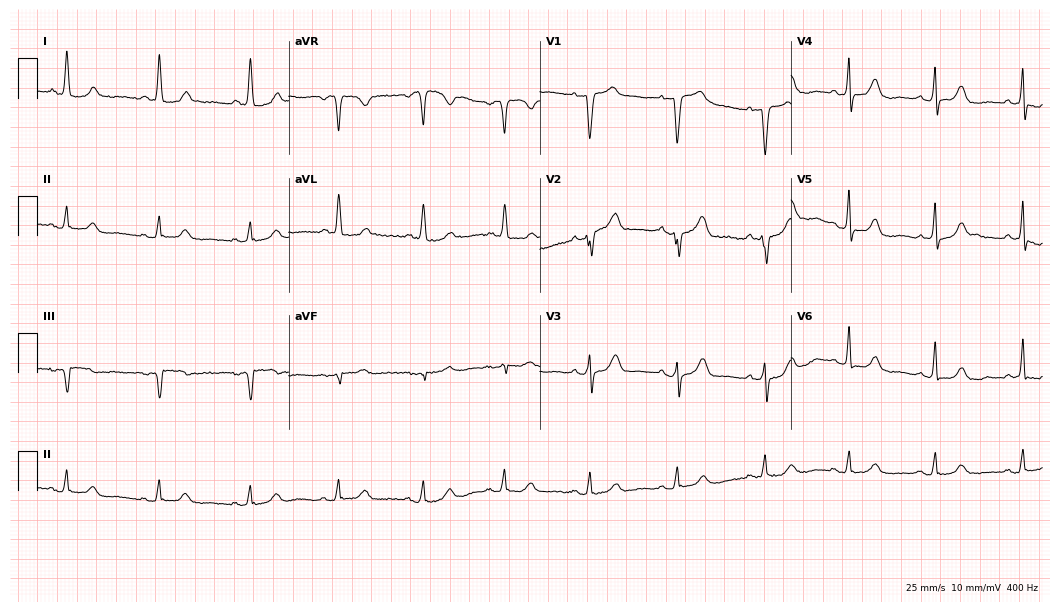
ECG (10.2-second recording at 400 Hz) — an 80-year-old female. Screened for six findings — first-degree AV block, right bundle branch block, left bundle branch block, sinus bradycardia, atrial fibrillation, sinus tachycardia — none is recorded. Findings outside these six are not listed.